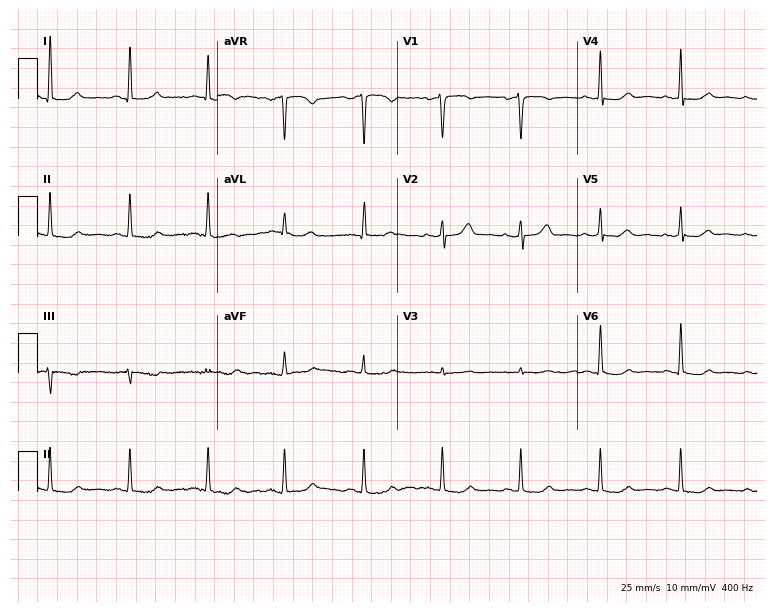
Electrocardiogram (7.3-second recording at 400 Hz), a woman, 47 years old. Of the six screened findings (first-degree AV block, right bundle branch block (RBBB), left bundle branch block (LBBB), sinus bradycardia, atrial fibrillation (AF), sinus tachycardia), none is recorded.